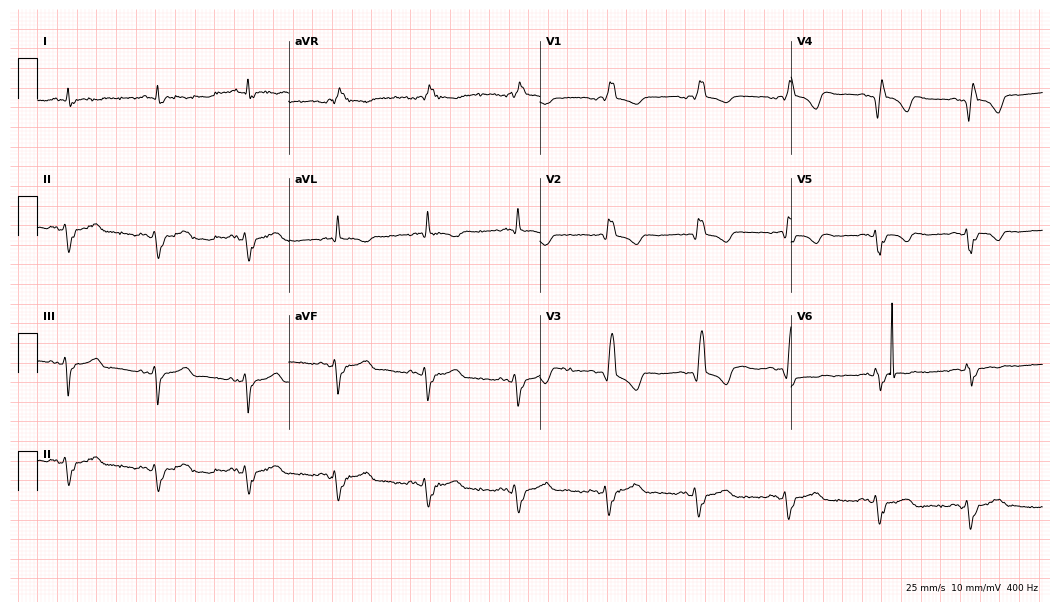
Electrocardiogram, a man, 84 years old. Interpretation includes right bundle branch block.